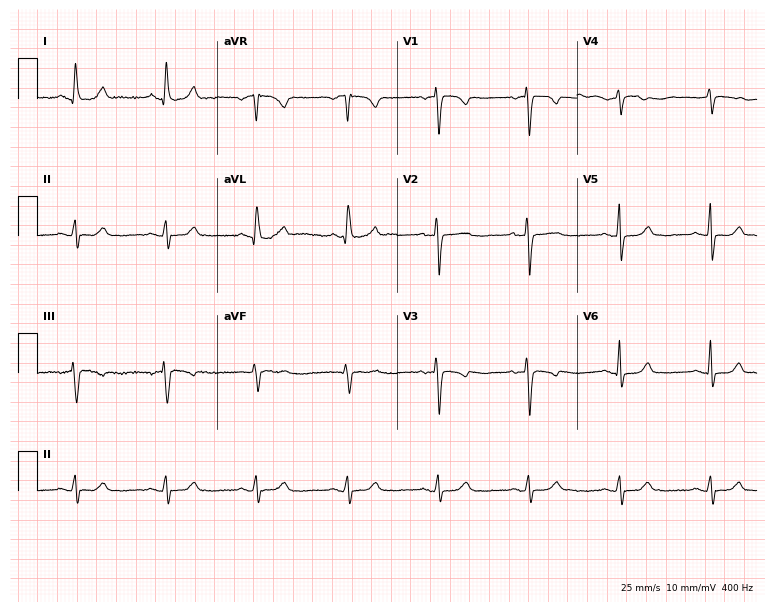
ECG (7.3-second recording at 400 Hz) — an 81-year-old female patient. Screened for six findings — first-degree AV block, right bundle branch block (RBBB), left bundle branch block (LBBB), sinus bradycardia, atrial fibrillation (AF), sinus tachycardia — none is recorded. Findings outside these six are not listed.